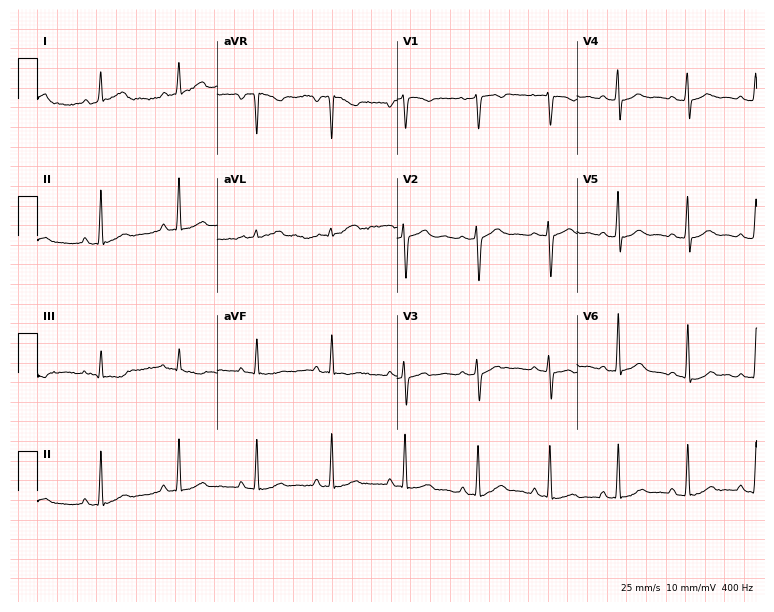
12-lead ECG from a 39-year-old woman (7.3-second recording at 400 Hz). No first-degree AV block, right bundle branch block (RBBB), left bundle branch block (LBBB), sinus bradycardia, atrial fibrillation (AF) or sinus tachycardia recorded for this tracing. Other findings, if any, are not listed.